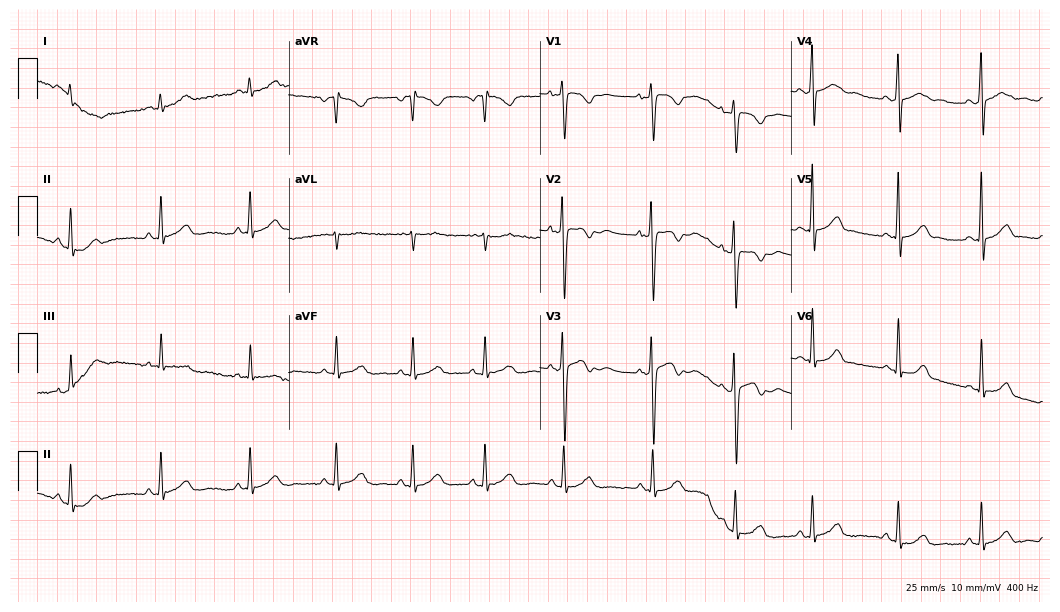
12-lead ECG from a woman, 27 years old. Labelled as a normal ECG.